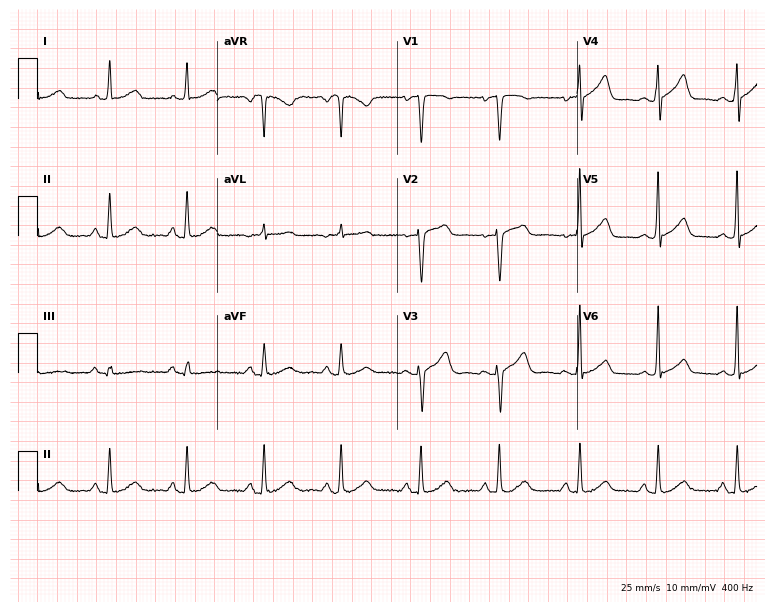
ECG — a 55-year-old female patient. Screened for six findings — first-degree AV block, right bundle branch block (RBBB), left bundle branch block (LBBB), sinus bradycardia, atrial fibrillation (AF), sinus tachycardia — none is recorded.